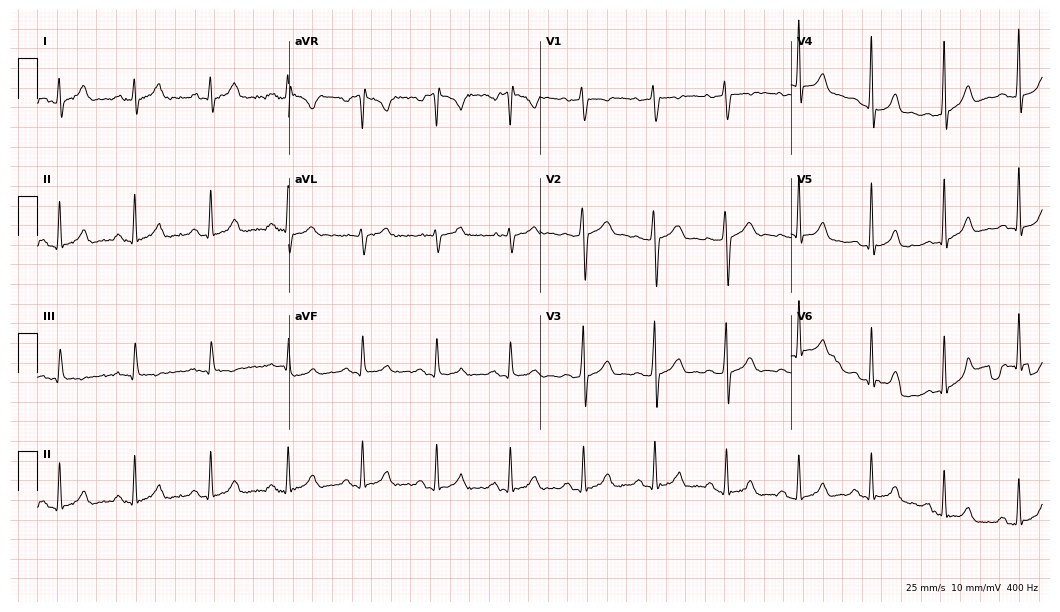
ECG — a man, 24 years old. Labelled as a normal ECG.